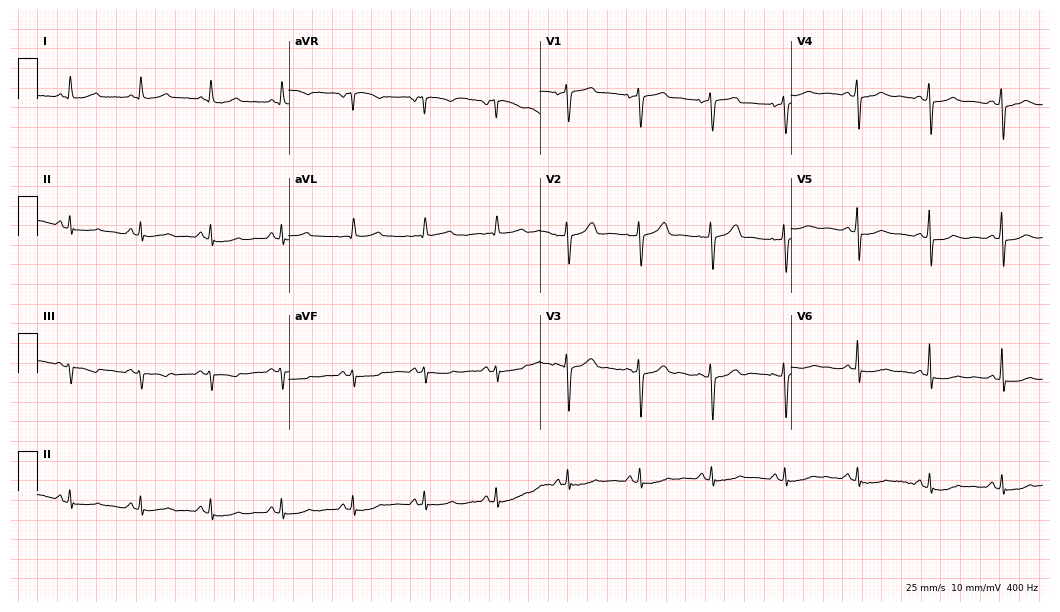
Resting 12-lead electrocardiogram (10.2-second recording at 400 Hz). Patient: a 62-year-old man. Read as a normal ECG.